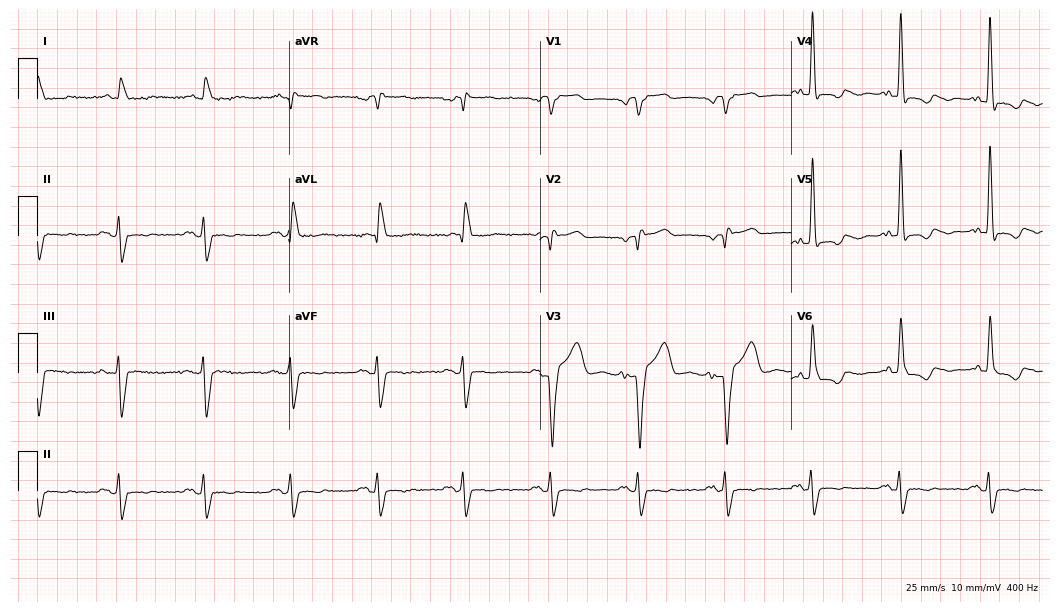
Resting 12-lead electrocardiogram (10.2-second recording at 400 Hz). Patient: a 65-year-old man. The tracing shows left bundle branch block.